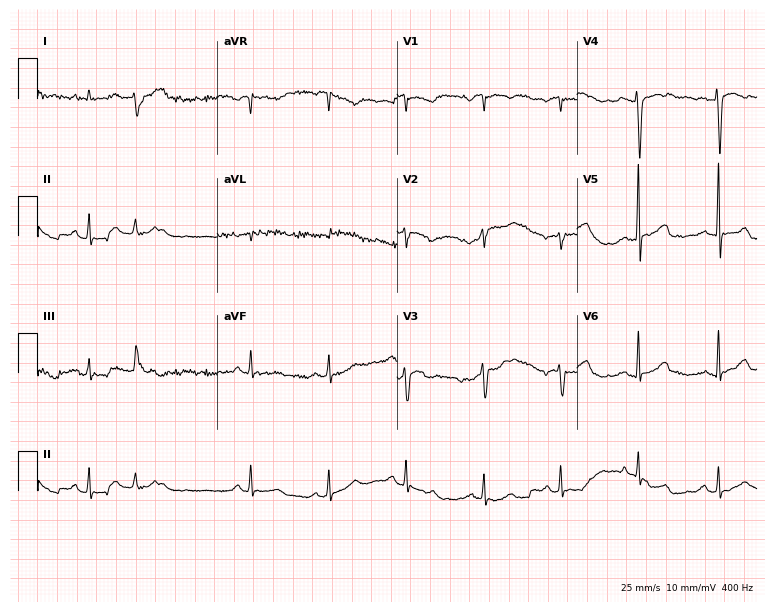
Standard 12-lead ECG recorded from a 48-year-old female (7.3-second recording at 400 Hz). None of these six findings is recorded: first-degree AV block, right bundle branch block (RBBB), left bundle branch block (LBBB), sinus bradycardia, atrial fibrillation (AF), sinus tachycardia.